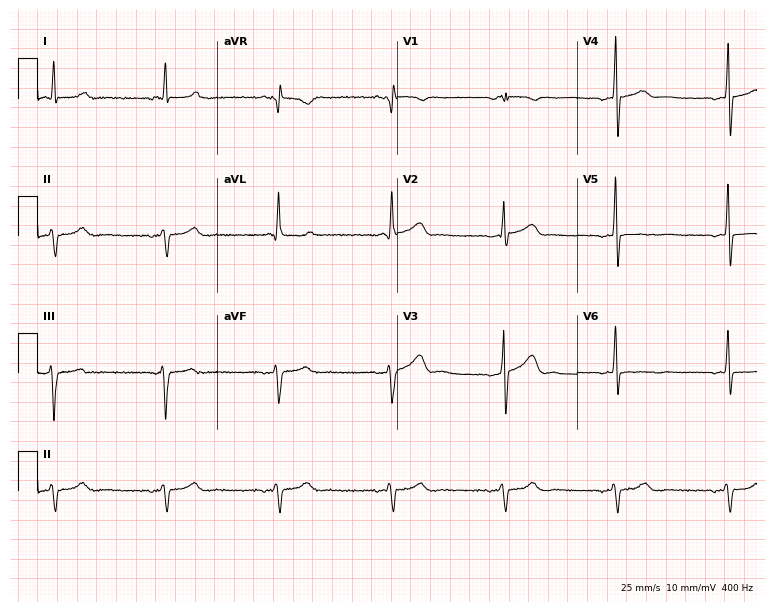
Resting 12-lead electrocardiogram. Patient: a 73-year-old male. None of these six findings is recorded: first-degree AV block, right bundle branch block (RBBB), left bundle branch block (LBBB), sinus bradycardia, atrial fibrillation (AF), sinus tachycardia. Only these six findings were labelled.